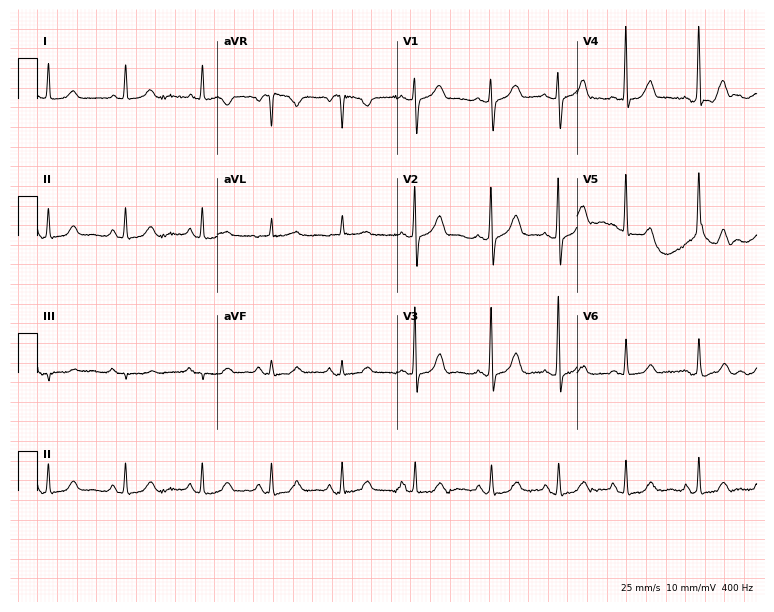
12-lead ECG from a female patient, 68 years old (7.3-second recording at 400 Hz). Recorded interpretation: within normal limits.